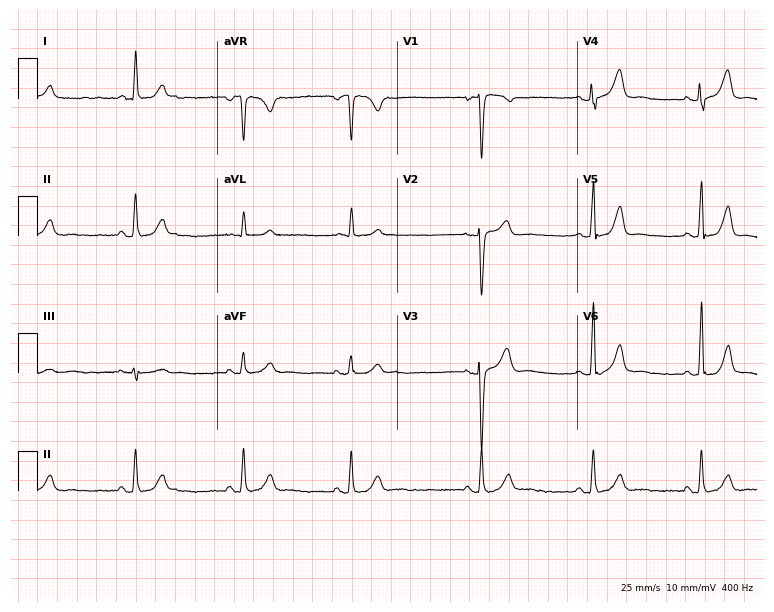
Resting 12-lead electrocardiogram (7.3-second recording at 400 Hz). Patient: a 45-year-old female. Read as a normal ECG.